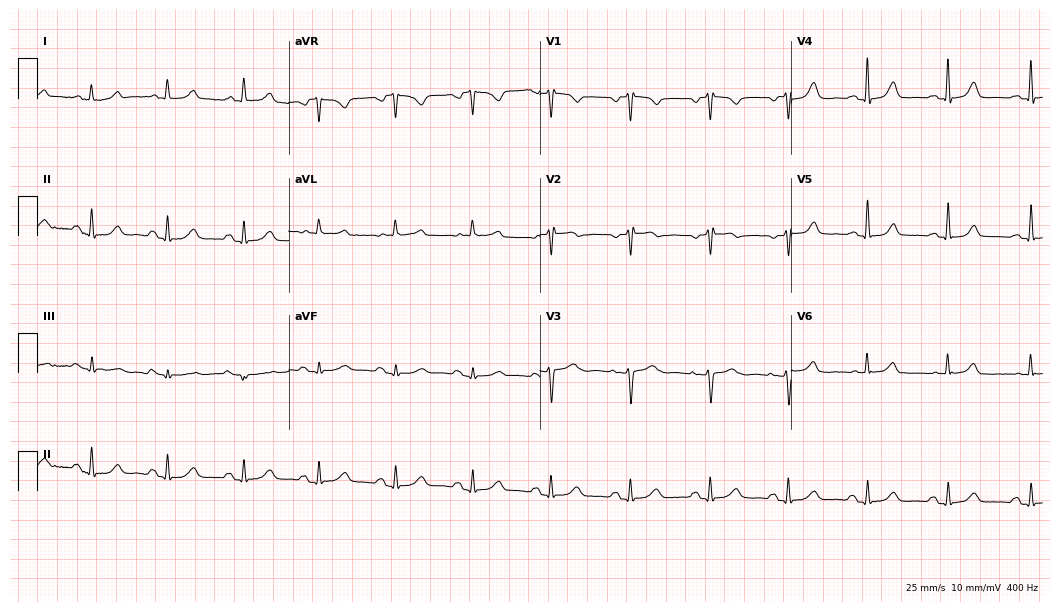
12-lead ECG from a woman, 61 years old. Labelled as a normal ECG.